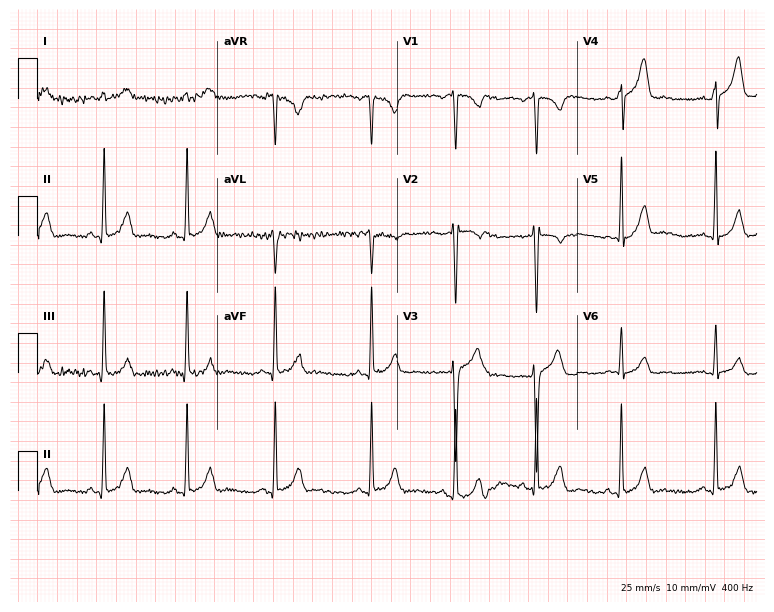
Resting 12-lead electrocardiogram. Patient: a 24-year-old male. Read as a normal ECG.